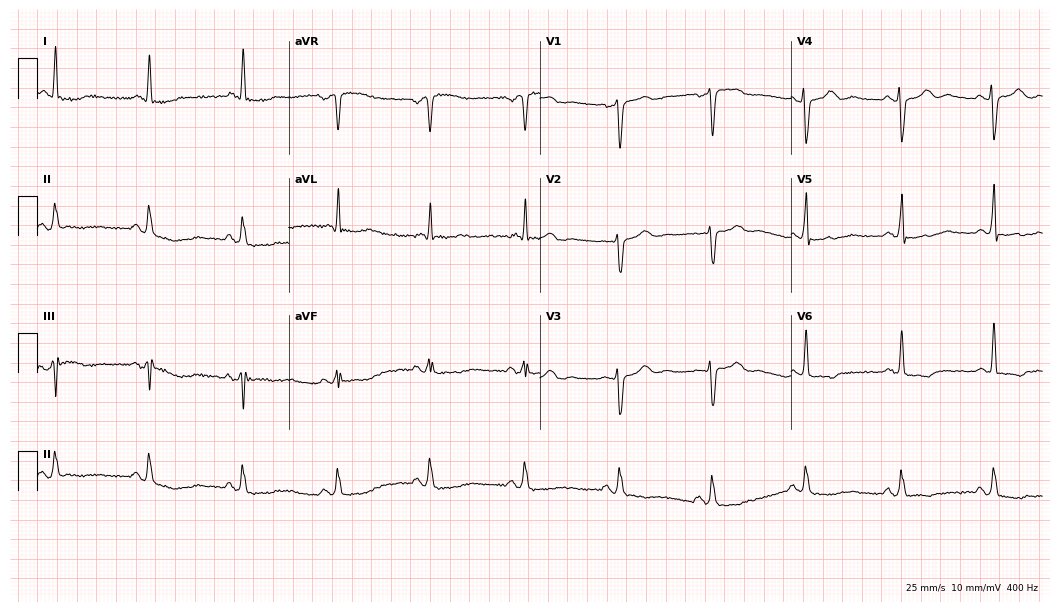
Standard 12-lead ECG recorded from a 69-year-old female patient (10.2-second recording at 400 Hz). None of these six findings is recorded: first-degree AV block, right bundle branch block (RBBB), left bundle branch block (LBBB), sinus bradycardia, atrial fibrillation (AF), sinus tachycardia.